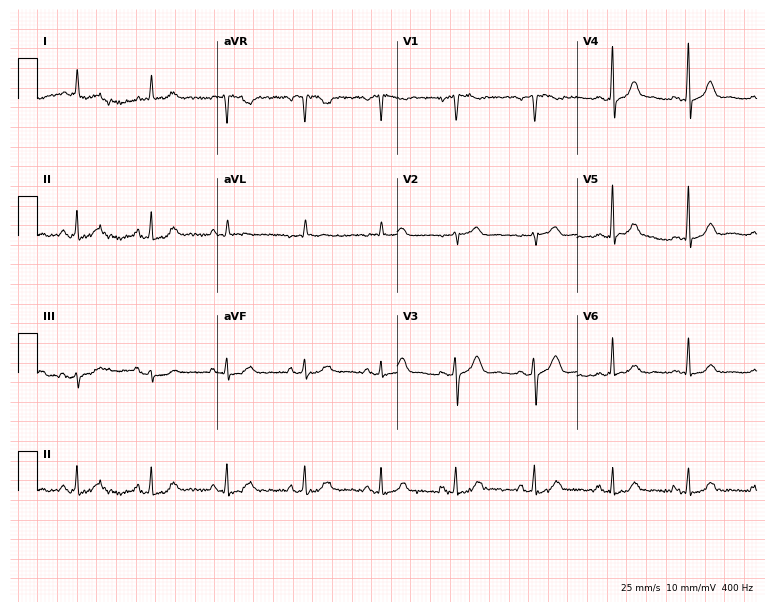
12-lead ECG from a female, 68 years old. Screened for six findings — first-degree AV block, right bundle branch block, left bundle branch block, sinus bradycardia, atrial fibrillation, sinus tachycardia — none is recorded. Other findings, if any, are not listed.